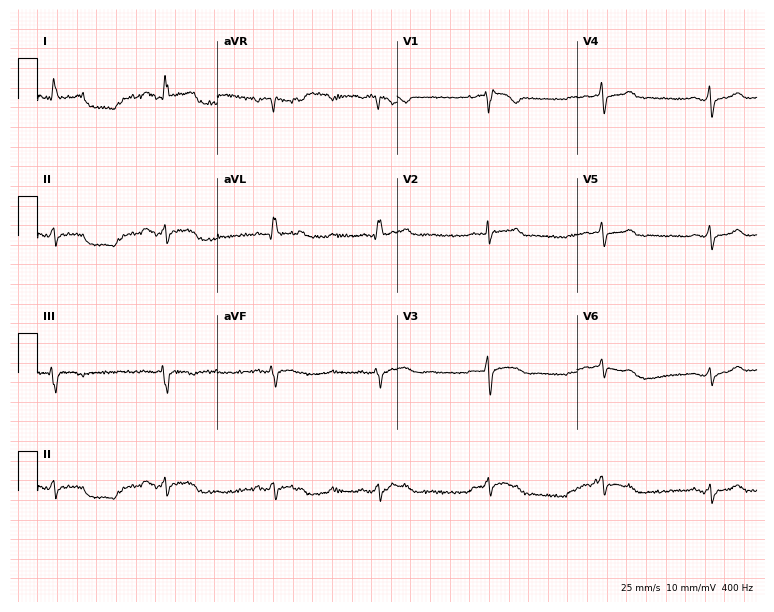
ECG (7.3-second recording at 400 Hz) — a female, 53 years old. Screened for six findings — first-degree AV block, right bundle branch block, left bundle branch block, sinus bradycardia, atrial fibrillation, sinus tachycardia — none is recorded.